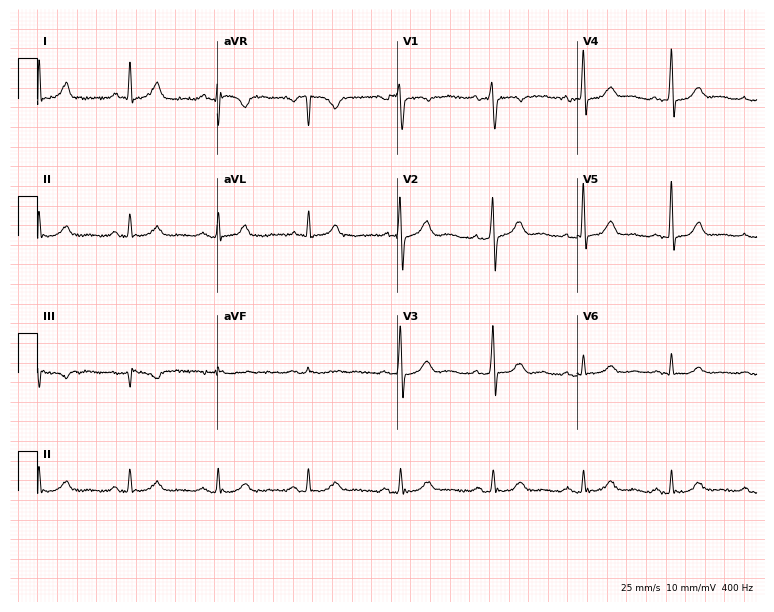
12-lead ECG from a male, 36 years old. No first-degree AV block, right bundle branch block, left bundle branch block, sinus bradycardia, atrial fibrillation or sinus tachycardia recorded for this tracing. Other findings, if any, are not listed.